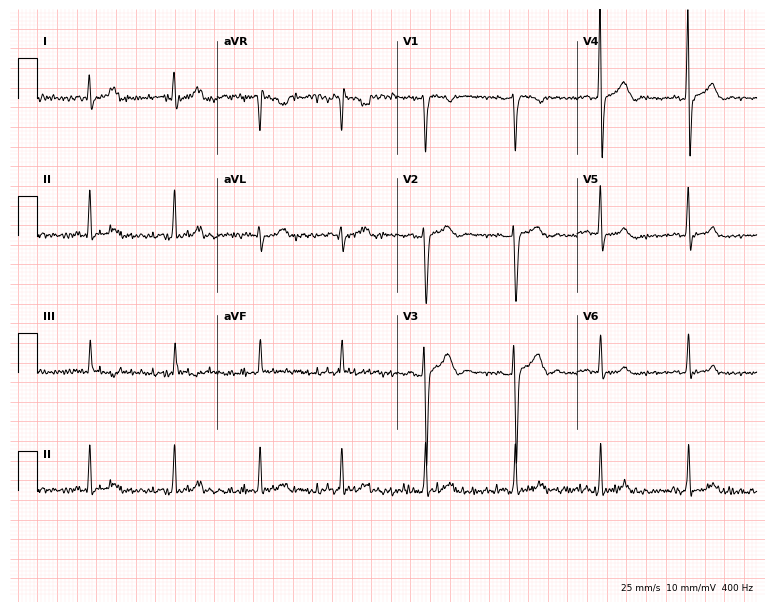
Resting 12-lead electrocardiogram. Patient: an 18-year-old male. None of these six findings is recorded: first-degree AV block, right bundle branch block, left bundle branch block, sinus bradycardia, atrial fibrillation, sinus tachycardia.